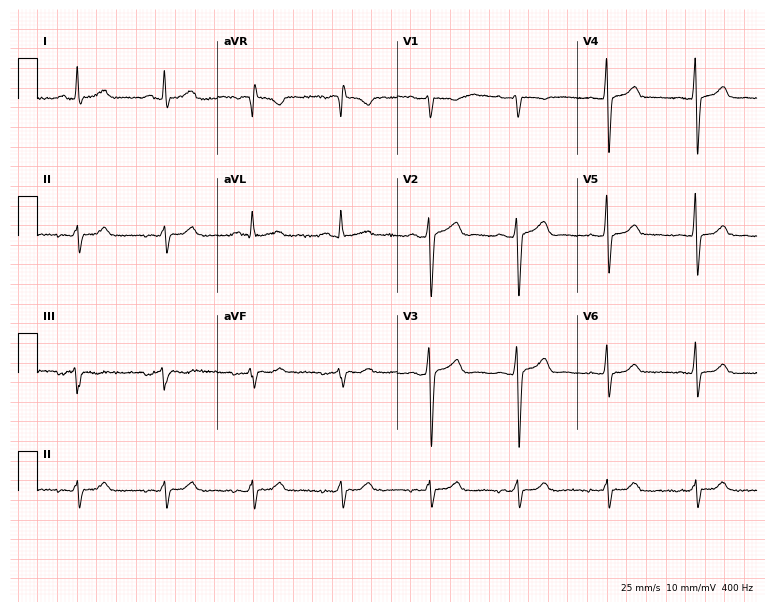
Electrocardiogram (7.3-second recording at 400 Hz), a 57-year-old man. Of the six screened findings (first-degree AV block, right bundle branch block, left bundle branch block, sinus bradycardia, atrial fibrillation, sinus tachycardia), none is recorded.